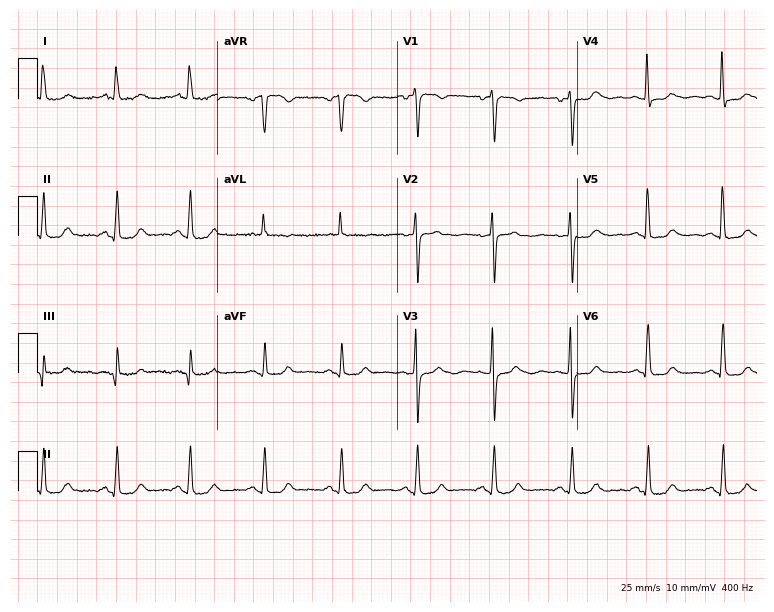
12-lead ECG from a female patient, 73 years old. Labelled as a normal ECG.